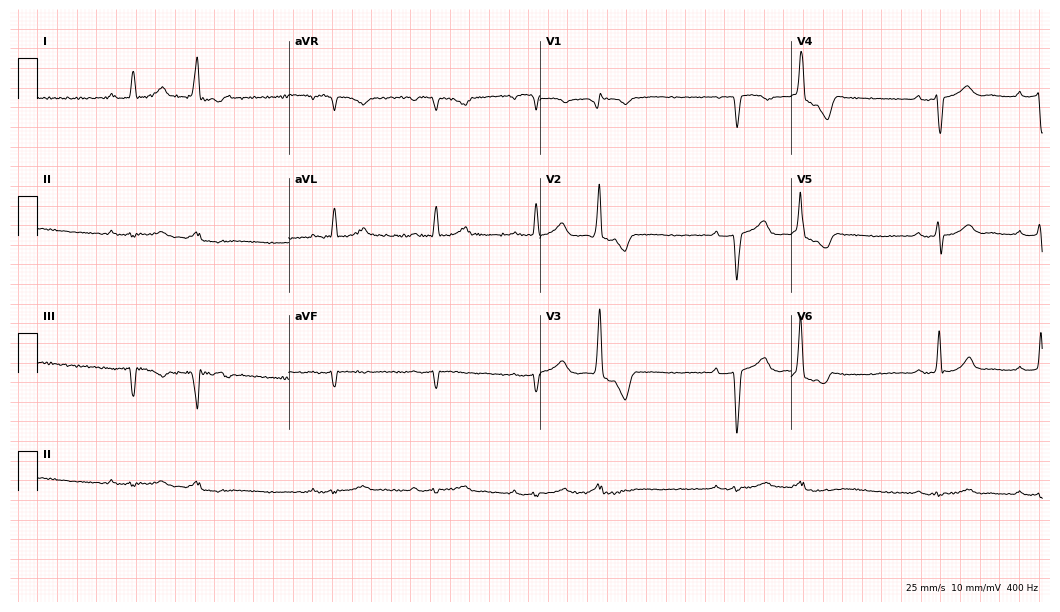
Electrocardiogram (10.2-second recording at 400 Hz), a man, 85 years old. Interpretation includes first-degree AV block.